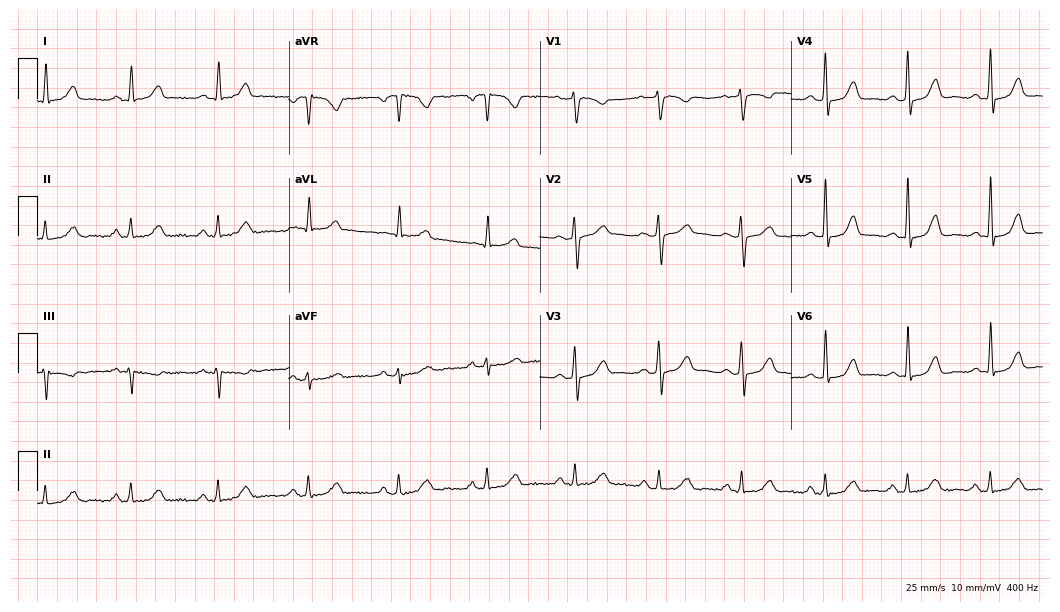
12-lead ECG from a female patient, 52 years old. Labelled as a normal ECG.